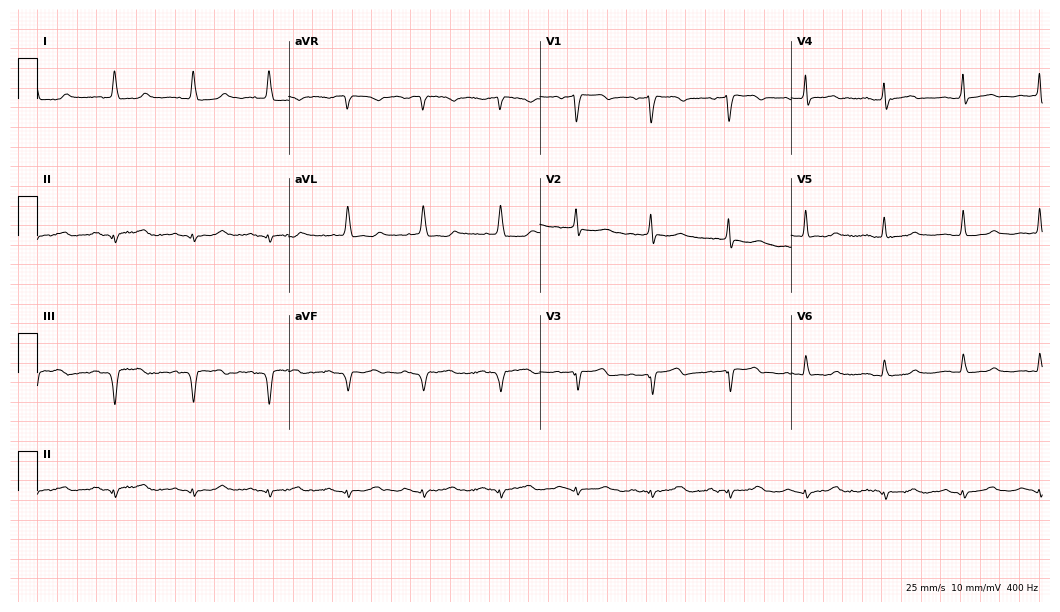
ECG — a female, 79 years old. Labelled as a normal ECG.